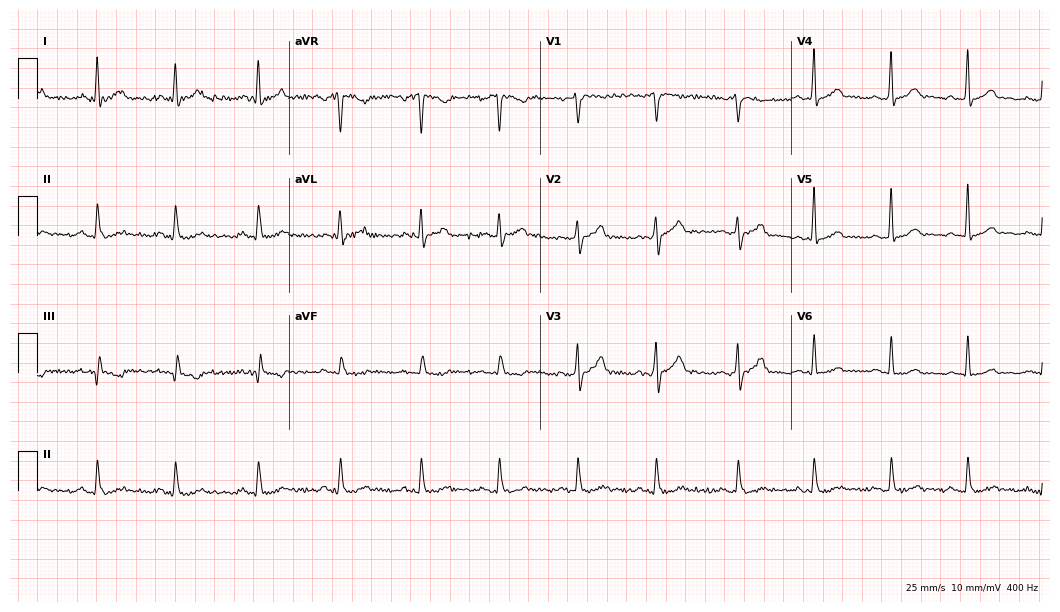
12-lead ECG from a 44-year-old man. Screened for six findings — first-degree AV block, right bundle branch block, left bundle branch block, sinus bradycardia, atrial fibrillation, sinus tachycardia — none is recorded. Findings outside these six are not listed.